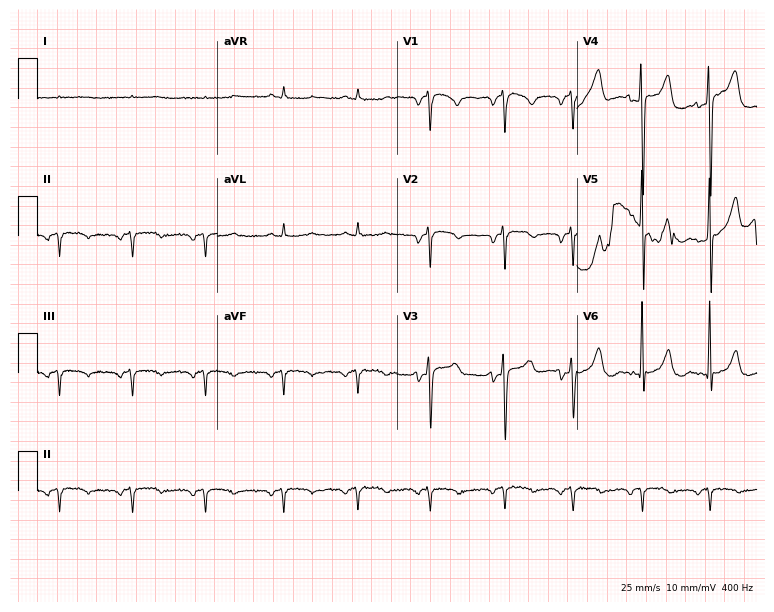
12-lead ECG from a female, 47 years old (7.3-second recording at 400 Hz). No first-degree AV block, right bundle branch block, left bundle branch block, sinus bradycardia, atrial fibrillation or sinus tachycardia recorded for this tracing. Only these six findings were labelled.